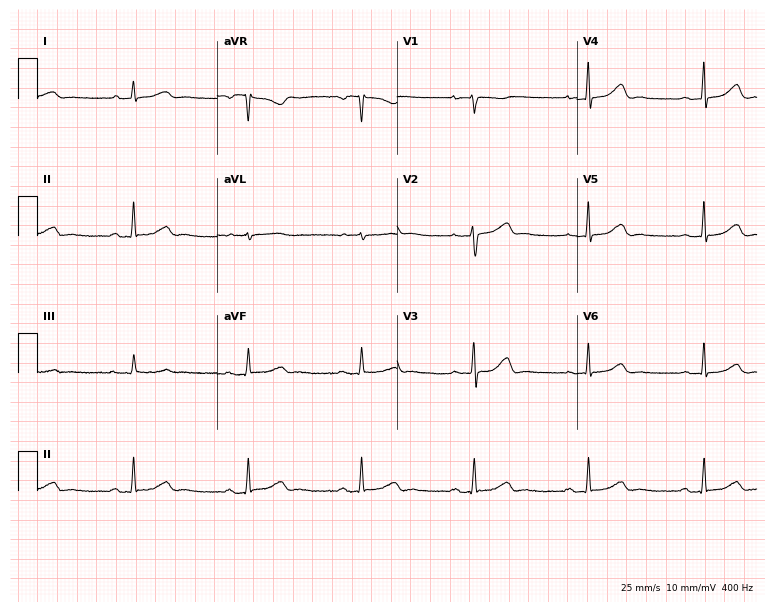
12-lead ECG from a 30-year-old female patient. Recorded interpretation: within normal limits.